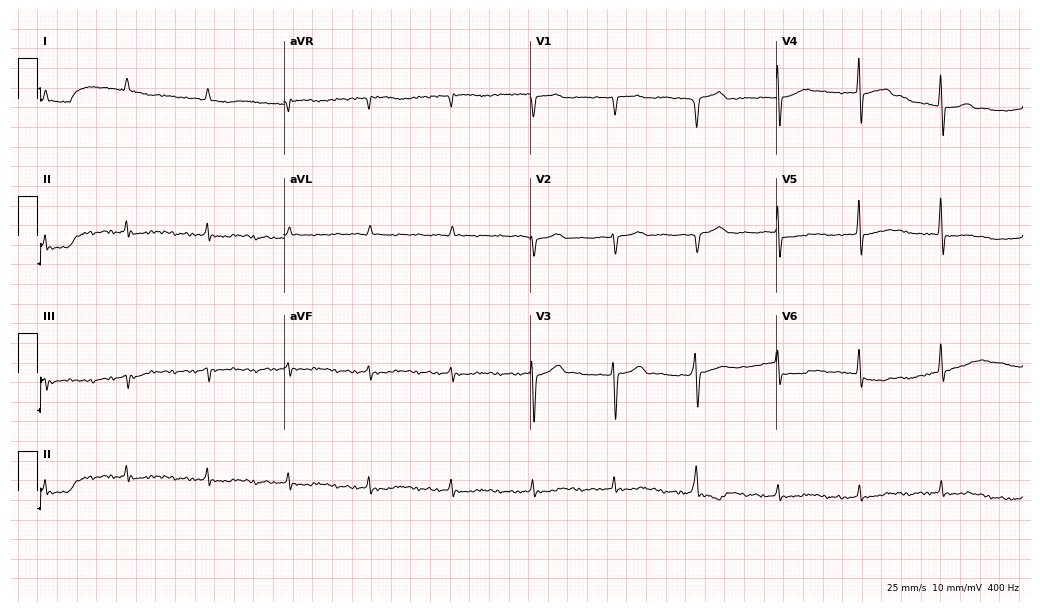
12-lead ECG from a 77-year-old man. Screened for six findings — first-degree AV block, right bundle branch block, left bundle branch block, sinus bradycardia, atrial fibrillation, sinus tachycardia — none is recorded.